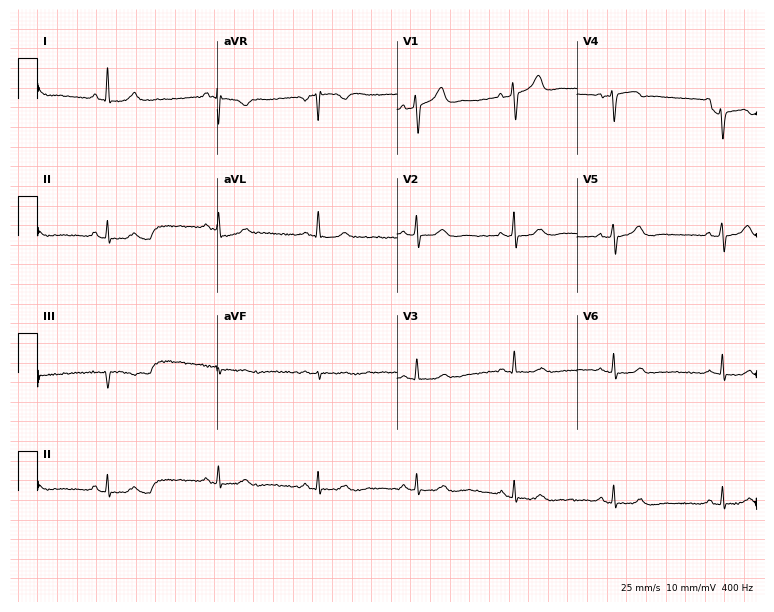
Resting 12-lead electrocardiogram. Patient: a female, 55 years old. None of these six findings is recorded: first-degree AV block, right bundle branch block (RBBB), left bundle branch block (LBBB), sinus bradycardia, atrial fibrillation (AF), sinus tachycardia.